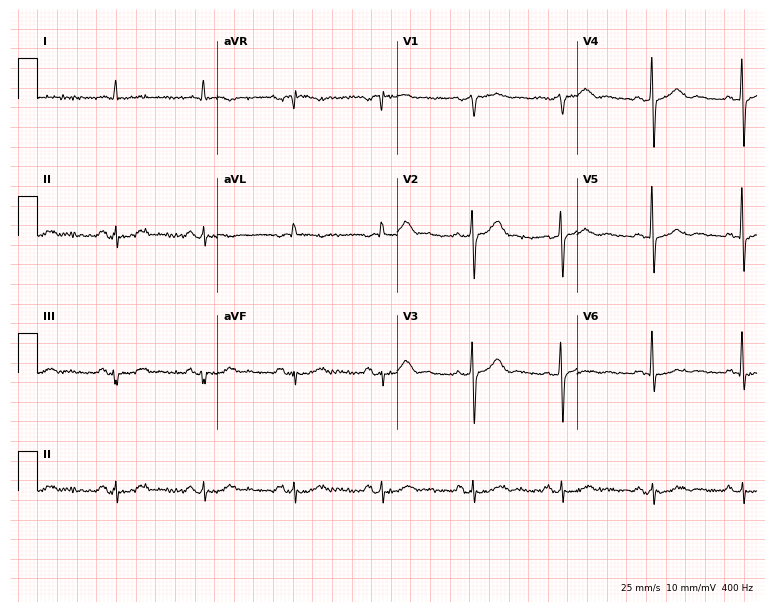
12-lead ECG from a 78-year-old man (7.3-second recording at 400 Hz). Recorded interpretation: within normal limits.